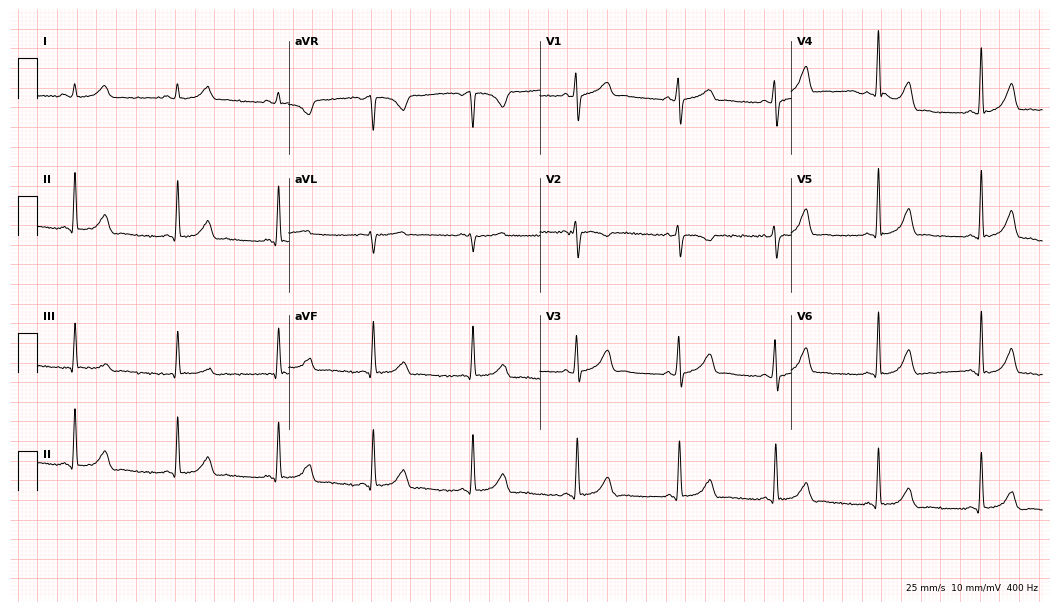
ECG — a female, 26 years old. Screened for six findings — first-degree AV block, right bundle branch block, left bundle branch block, sinus bradycardia, atrial fibrillation, sinus tachycardia — none is recorded.